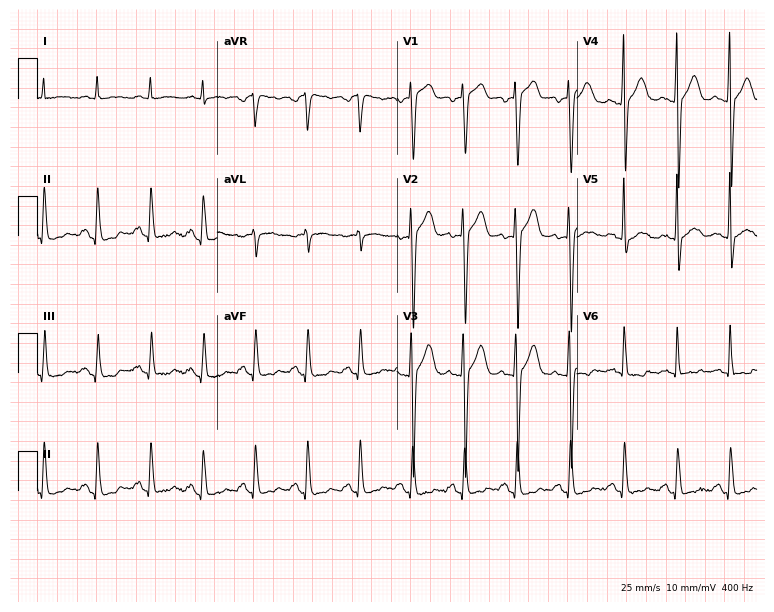
Standard 12-lead ECG recorded from a 51-year-old male. The tracing shows sinus tachycardia (a sinus rate of 100 beats per minute or more).